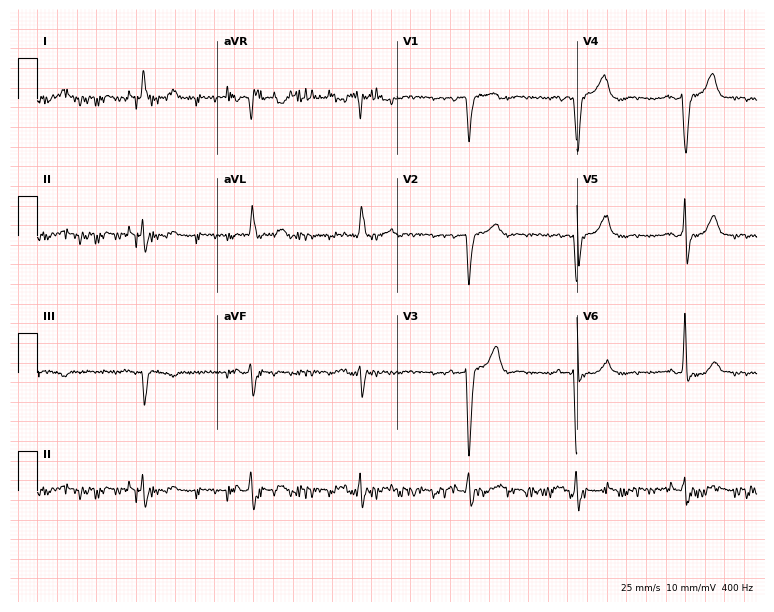
12-lead ECG from a 73-year-old man. No first-degree AV block, right bundle branch block, left bundle branch block, sinus bradycardia, atrial fibrillation or sinus tachycardia recorded for this tracing.